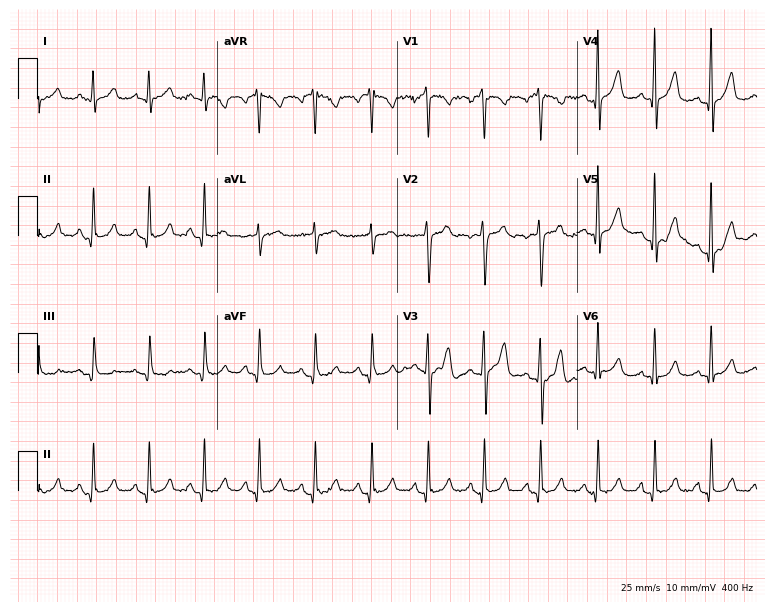
ECG — a 58-year-old female patient. Findings include sinus tachycardia (a sinus rate of 100 beats per minute or more).